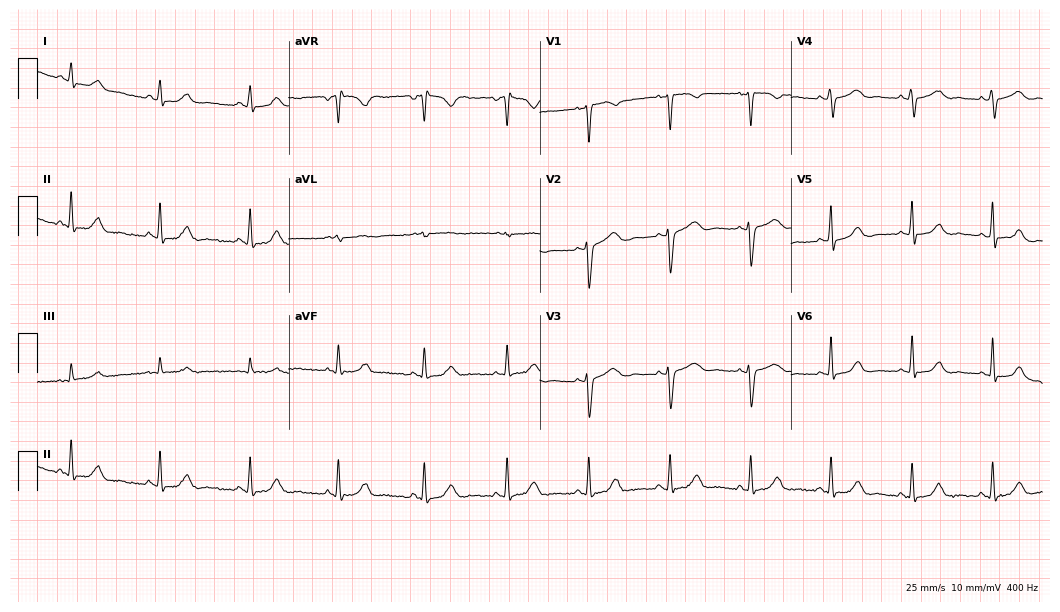
Standard 12-lead ECG recorded from a female, 40 years old. Read as a normal ECG.